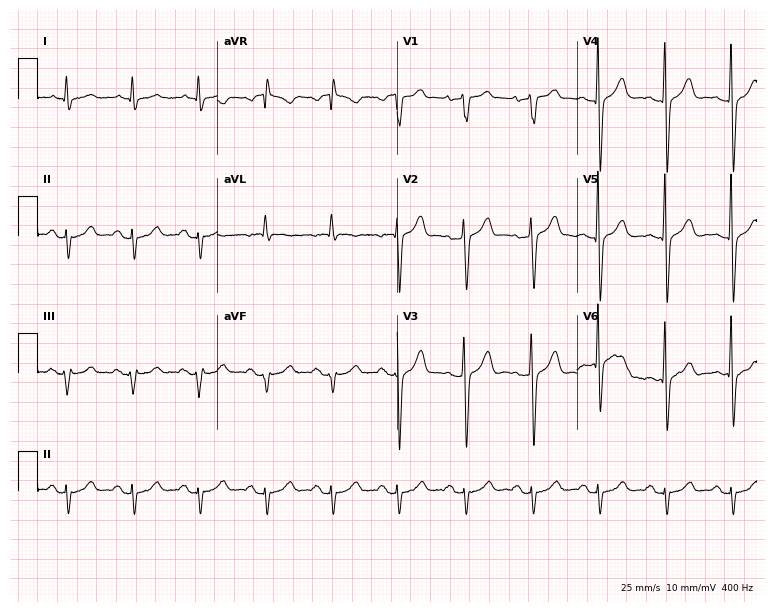
Resting 12-lead electrocardiogram. Patient: a male, 73 years old. None of these six findings is recorded: first-degree AV block, right bundle branch block, left bundle branch block, sinus bradycardia, atrial fibrillation, sinus tachycardia. Findings outside these six are not listed.